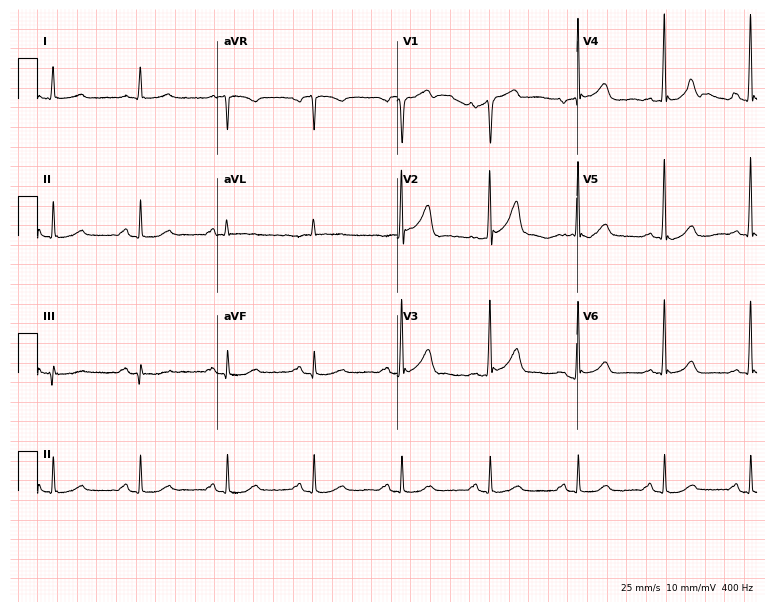
12-lead ECG from an 81-year-old male patient. Recorded interpretation: within normal limits.